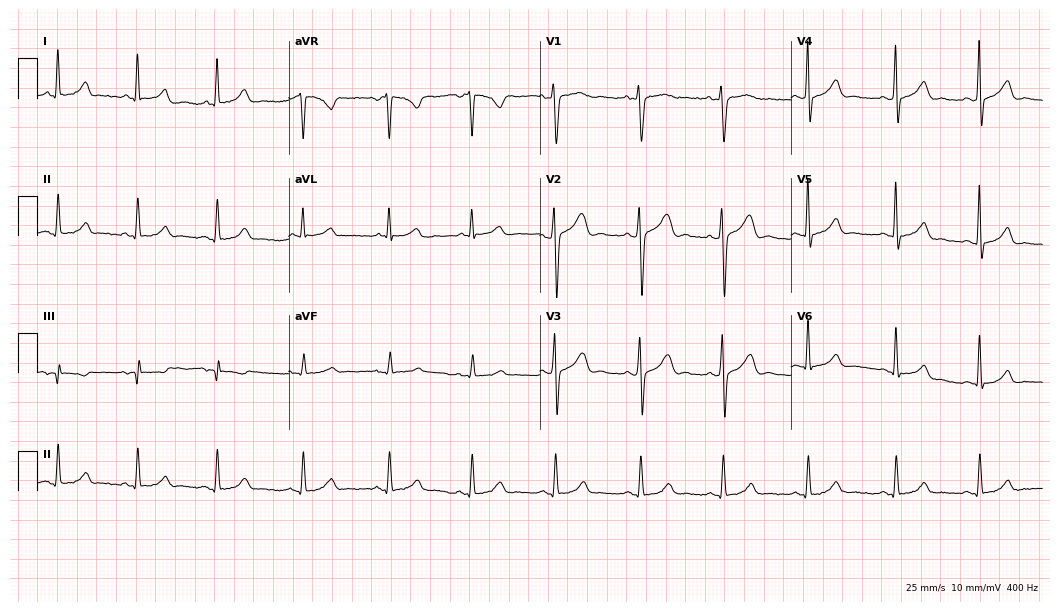
Electrocardiogram (10.2-second recording at 400 Hz), a 39-year-old woman. Overall reading on record: normal ECG.